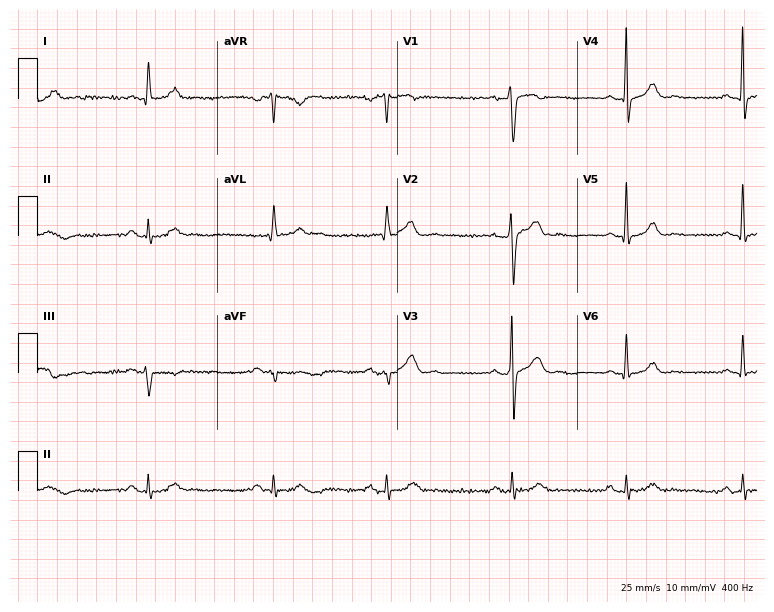
Electrocardiogram (7.3-second recording at 400 Hz), a male, 37 years old. Of the six screened findings (first-degree AV block, right bundle branch block, left bundle branch block, sinus bradycardia, atrial fibrillation, sinus tachycardia), none is recorded.